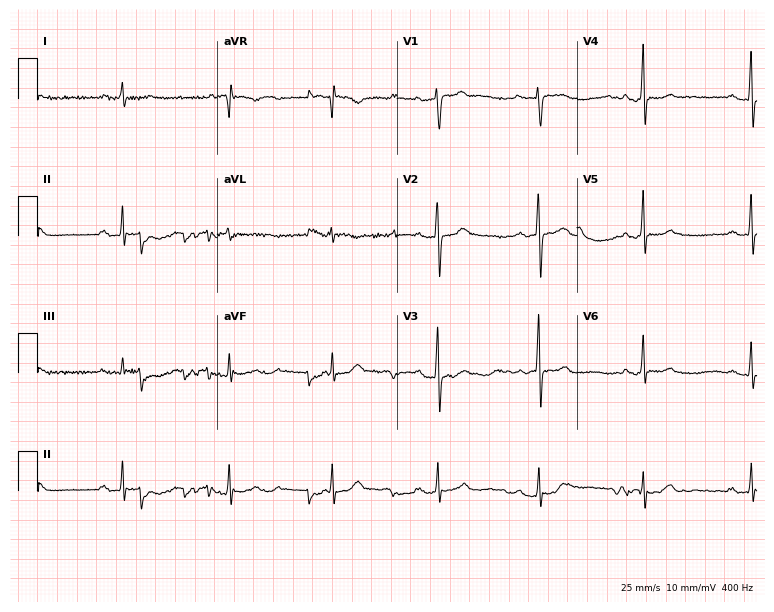
12-lead ECG from a male, 59 years old. Screened for six findings — first-degree AV block, right bundle branch block, left bundle branch block, sinus bradycardia, atrial fibrillation, sinus tachycardia — none is recorded.